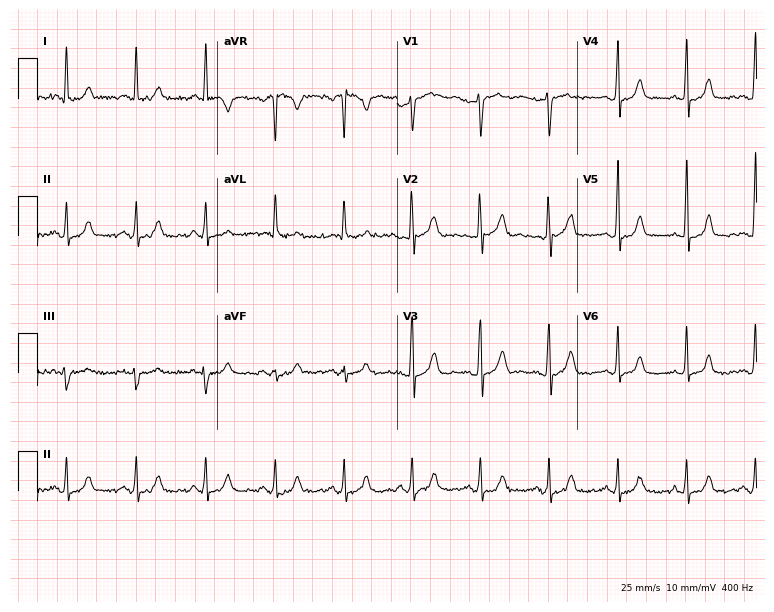
Resting 12-lead electrocardiogram (7.3-second recording at 400 Hz). Patient: a 52-year-old man. Read as a normal ECG.